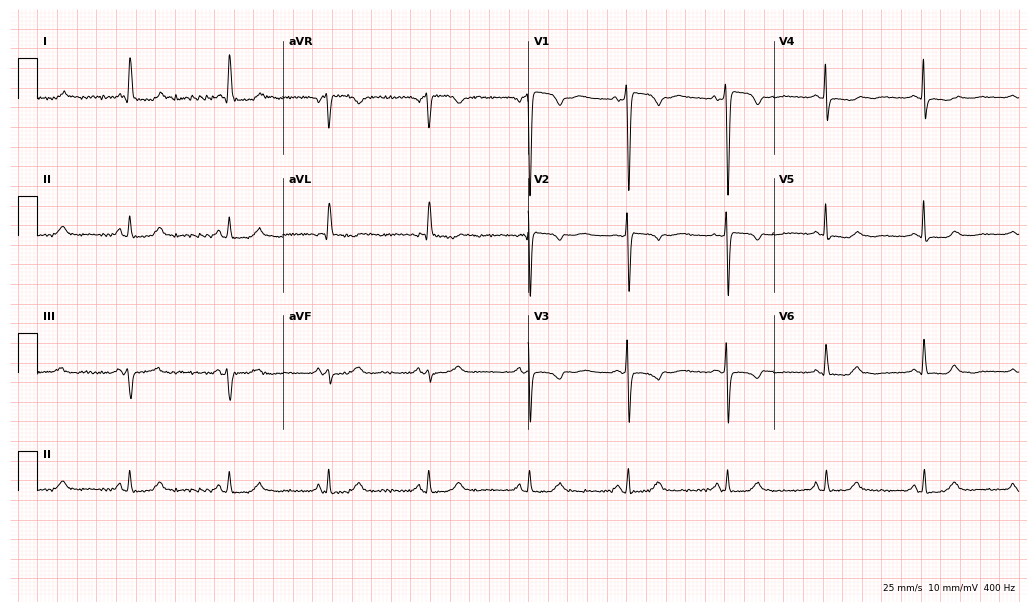
Electrocardiogram (10-second recording at 400 Hz), a woman, 75 years old. Of the six screened findings (first-degree AV block, right bundle branch block, left bundle branch block, sinus bradycardia, atrial fibrillation, sinus tachycardia), none is recorded. Findings outside these six are not listed.